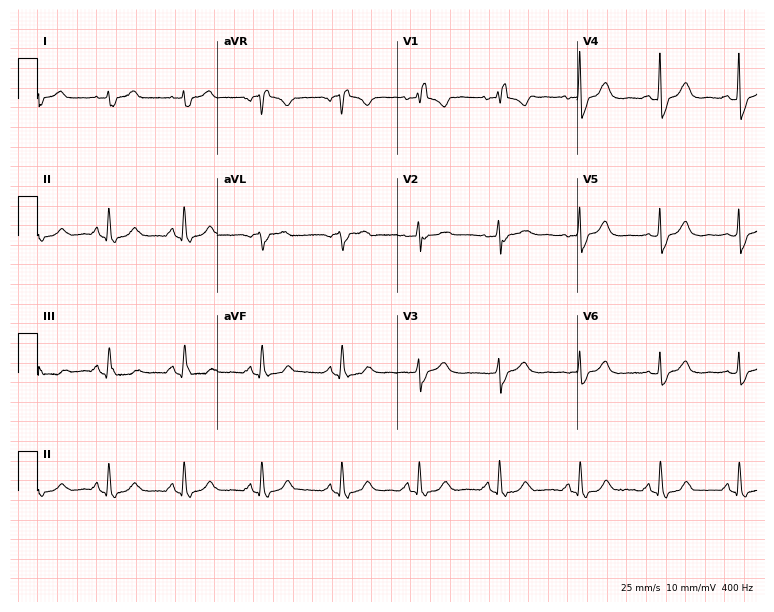
12-lead ECG from a woman, 57 years old. Findings include right bundle branch block (RBBB).